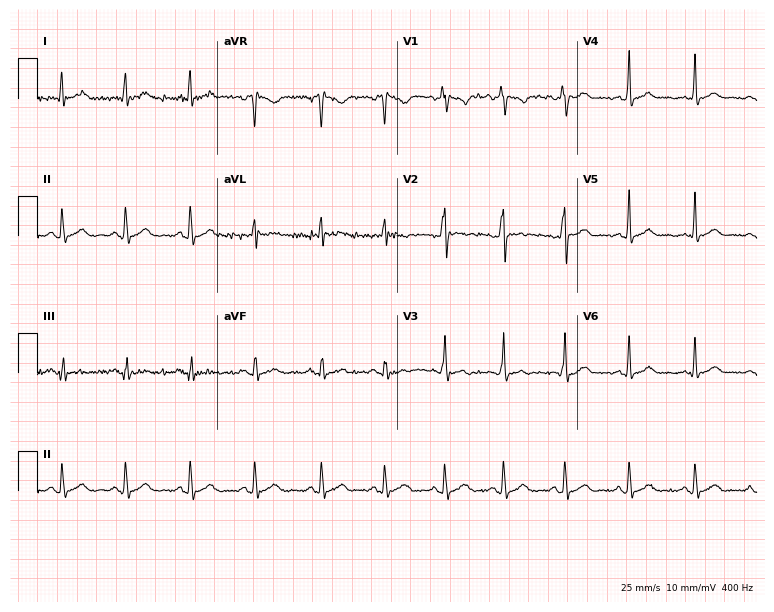
Standard 12-lead ECG recorded from a woman, 18 years old. Read as a normal ECG.